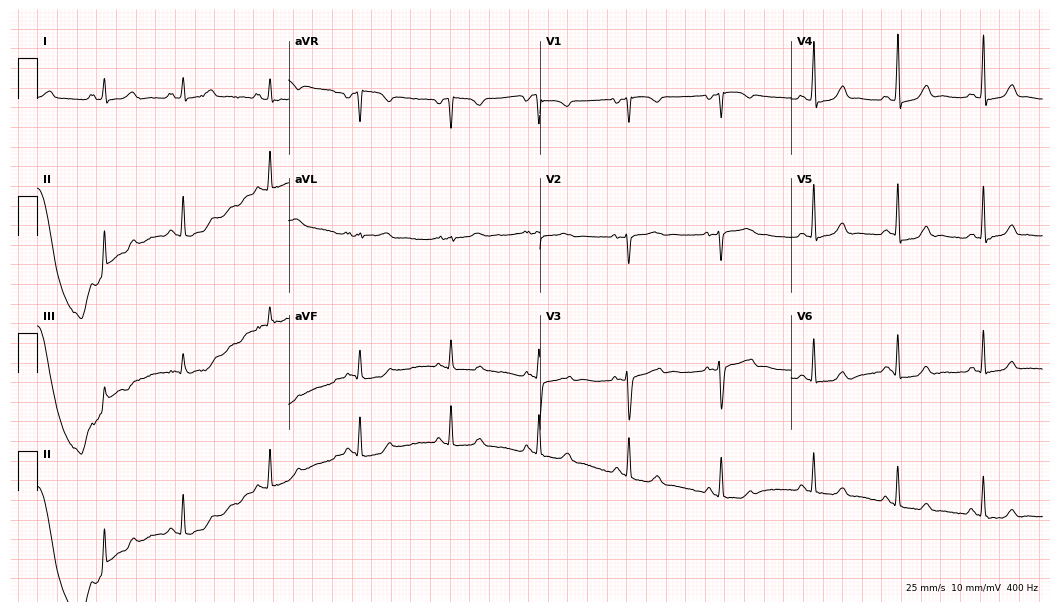
Standard 12-lead ECG recorded from a 26-year-old female patient (10.2-second recording at 400 Hz). None of these six findings is recorded: first-degree AV block, right bundle branch block, left bundle branch block, sinus bradycardia, atrial fibrillation, sinus tachycardia.